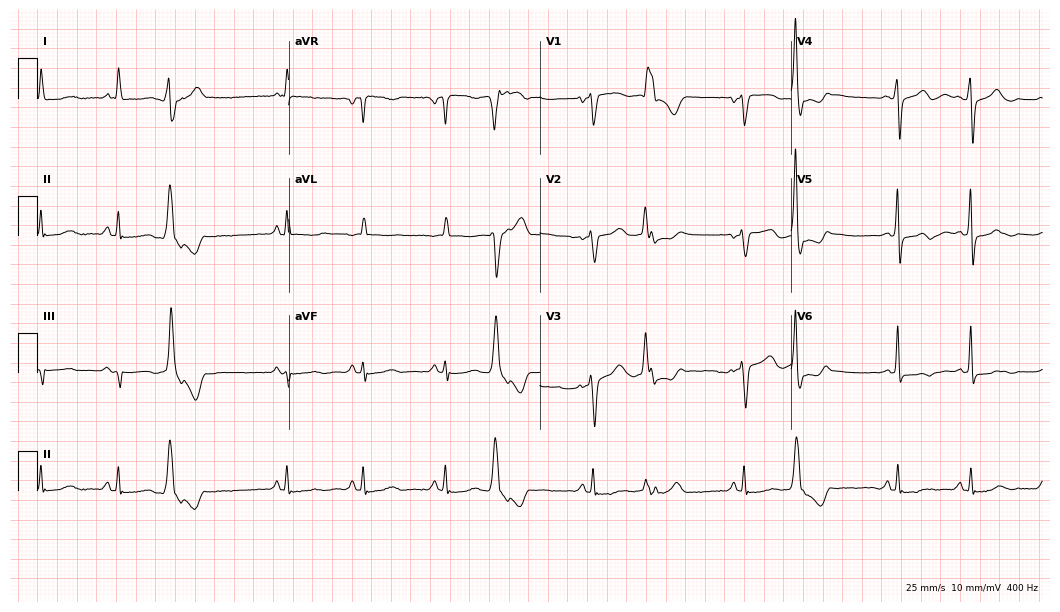
Electrocardiogram, a female patient, 65 years old. Of the six screened findings (first-degree AV block, right bundle branch block, left bundle branch block, sinus bradycardia, atrial fibrillation, sinus tachycardia), none is recorded.